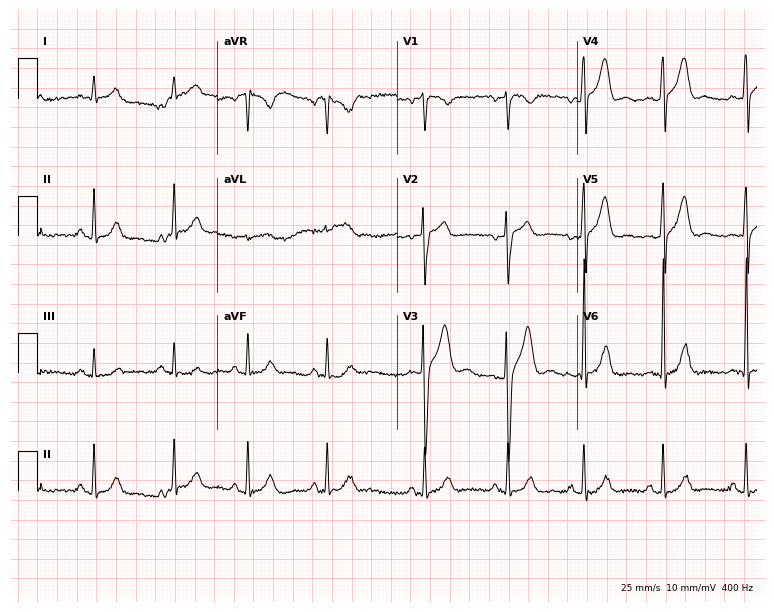
Standard 12-lead ECG recorded from a 25-year-old male patient (7.3-second recording at 400 Hz). None of these six findings is recorded: first-degree AV block, right bundle branch block (RBBB), left bundle branch block (LBBB), sinus bradycardia, atrial fibrillation (AF), sinus tachycardia.